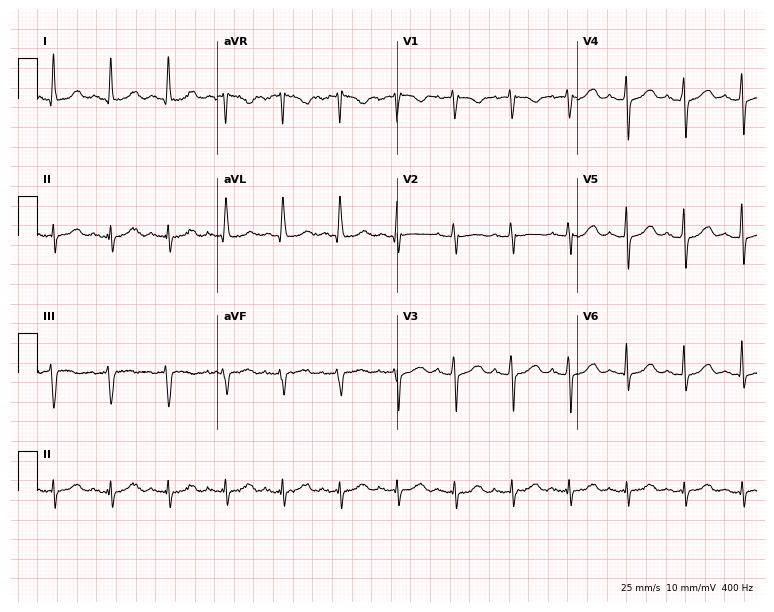
Electrocardiogram (7.3-second recording at 400 Hz), a female patient, 76 years old. Of the six screened findings (first-degree AV block, right bundle branch block (RBBB), left bundle branch block (LBBB), sinus bradycardia, atrial fibrillation (AF), sinus tachycardia), none is recorded. Findings outside these six are not listed.